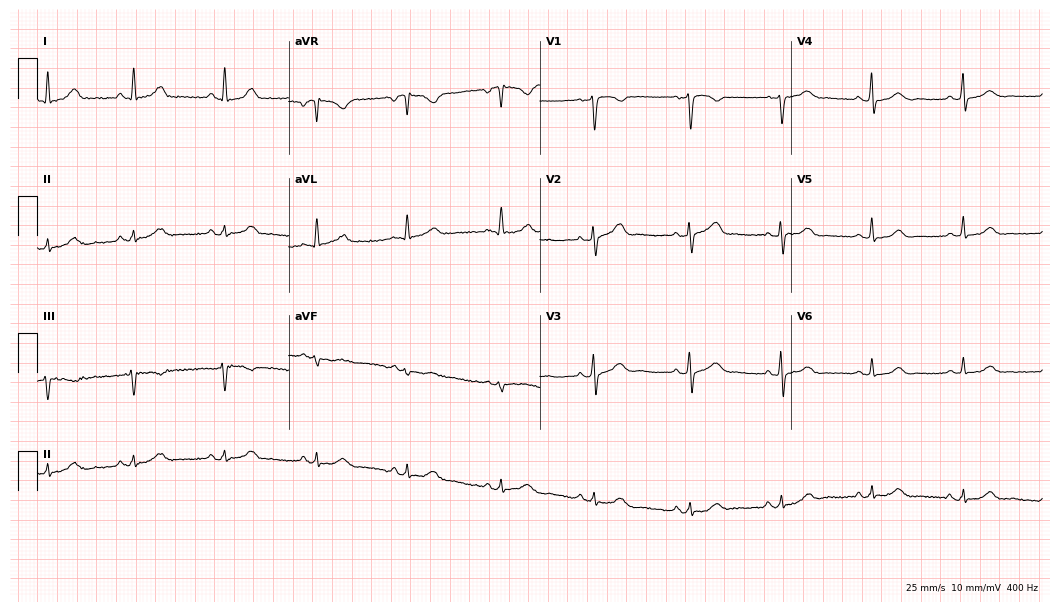
Electrocardiogram, a 53-year-old female patient. Of the six screened findings (first-degree AV block, right bundle branch block (RBBB), left bundle branch block (LBBB), sinus bradycardia, atrial fibrillation (AF), sinus tachycardia), none is recorded. Other findings, if any, are not listed.